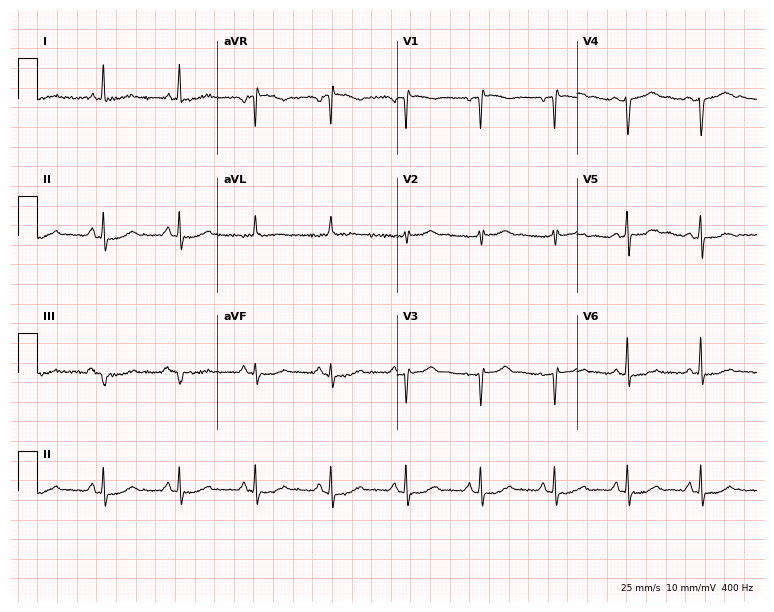
Standard 12-lead ECG recorded from a 79-year-old female patient. None of these six findings is recorded: first-degree AV block, right bundle branch block, left bundle branch block, sinus bradycardia, atrial fibrillation, sinus tachycardia.